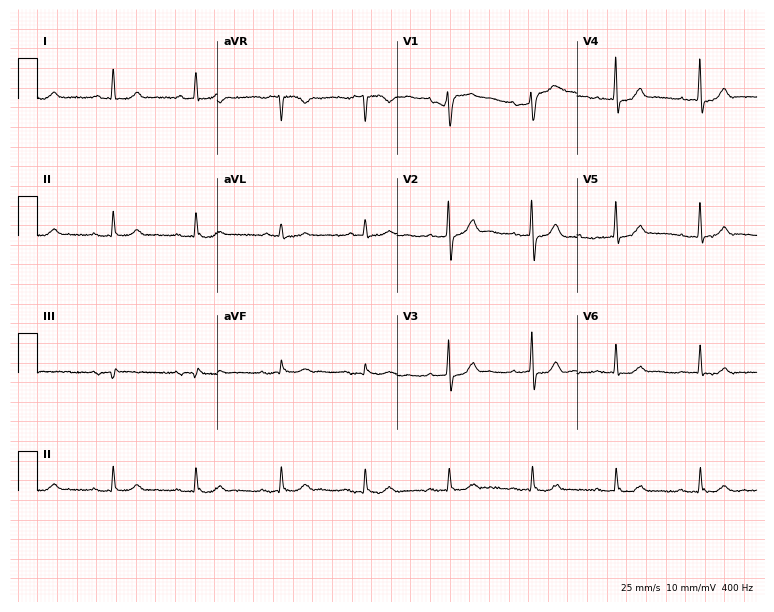
12-lead ECG from a 78-year-old male patient. Screened for six findings — first-degree AV block, right bundle branch block, left bundle branch block, sinus bradycardia, atrial fibrillation, sinus tachycardia — none is recorded. Other findings, if any, are not listed.